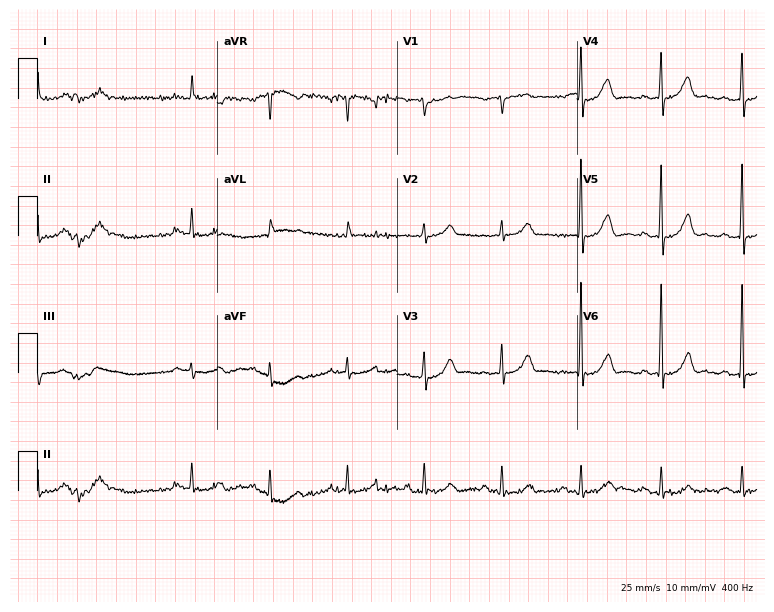
Resting 12-lead electrocardiogram. Patient: a 76-year-old male. None of these six findings is recorded: first-degree AV block, right bundle branch block, left bundle branch block, sinus bradycardia, atrial fibrillation, sinus tachycardia. Findings outside these six are not listed.